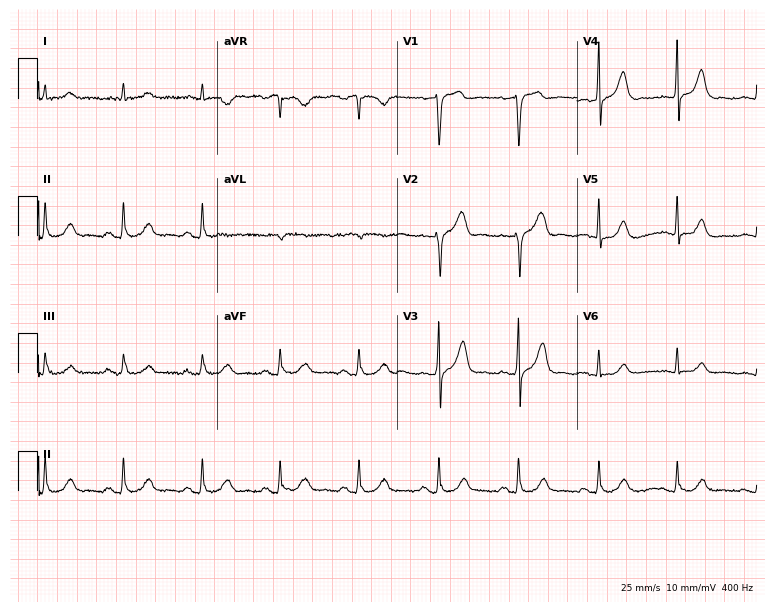
ECG — a 55-year-old male. Screened for six findings — first-degree AV block, right bundle branch block, left bundle branch block, sinus bradycardia, atrial fibrillation, sinus tachycardia — none is recorded. Only these six findings were labelled.